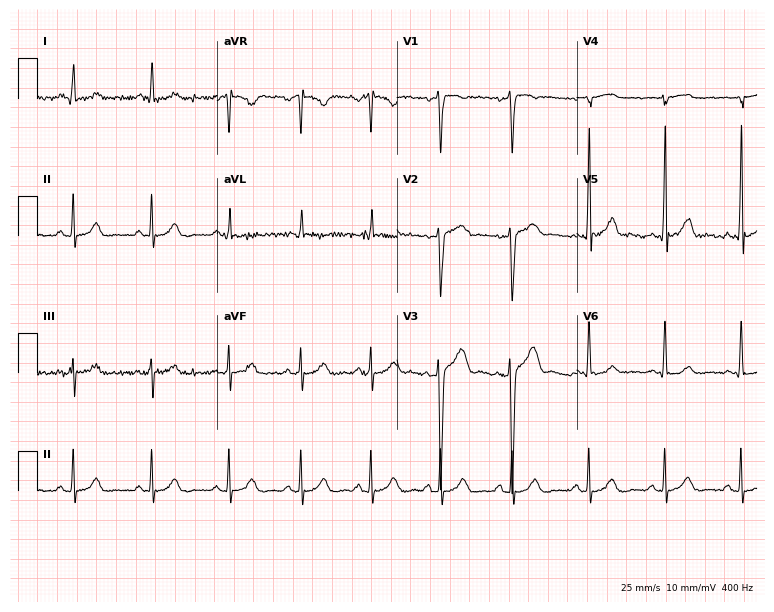
Electrocardiogram (7.3-second recording at 400 Hz), a 37-year-old male patient. Of the six screened findings (first-degree AV block, right bundle branch block (RBBB), left bundle branch block (LBBB), sinus bradycardia, atrial fibrillation (AF), sinus tachycardia), none is recorded.